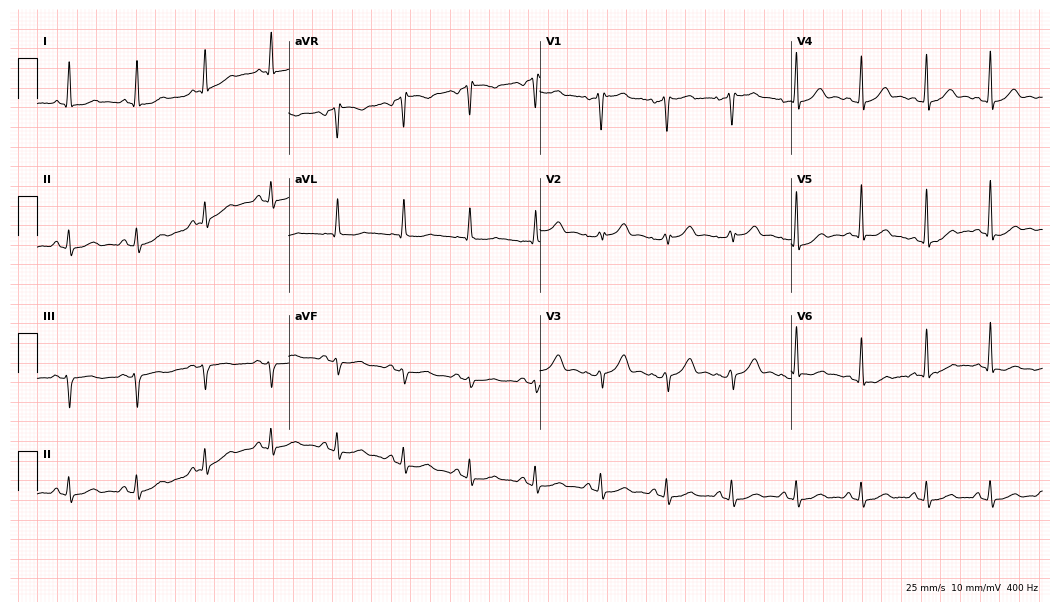
Resting 12-lead electrocardiogram (10.2-second recording at 400 Hz). Patient: a man, 41 years old. None of these six findings is recorded: first-degree AV block, right bundle branch block, left bundle branch block, sinus bradycardia, atrial fibrillation, sinus tachycardia.